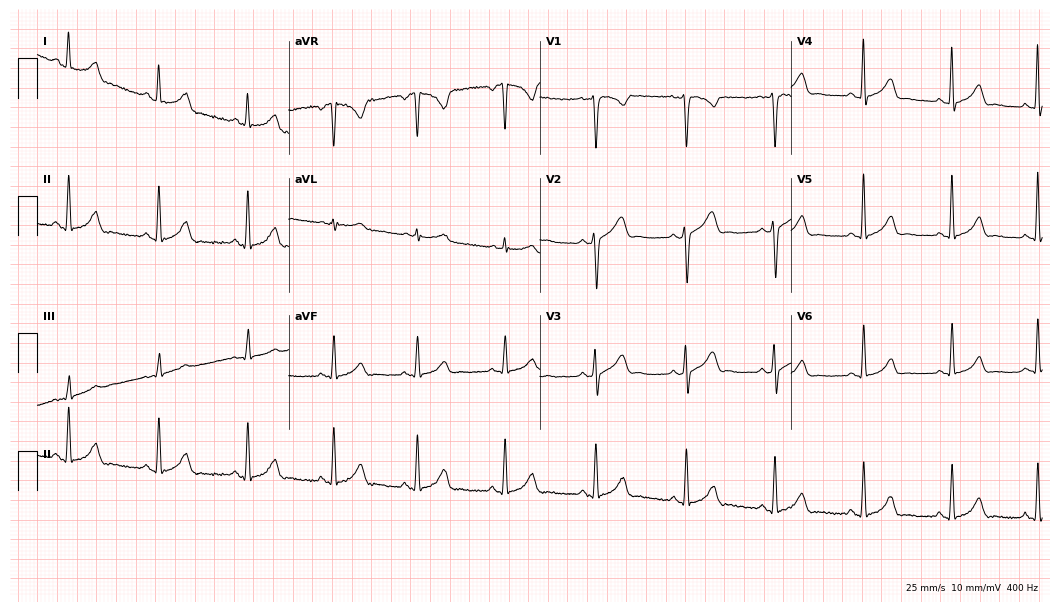
Standard 12-lead ECG recorded from a male patient, 40 years old. None of these six findings is recorded: first-degree AV block, right bundle branch block, left bundle branch block, sinus bradycardia, atrial fibrillation, sinus tachycardia.